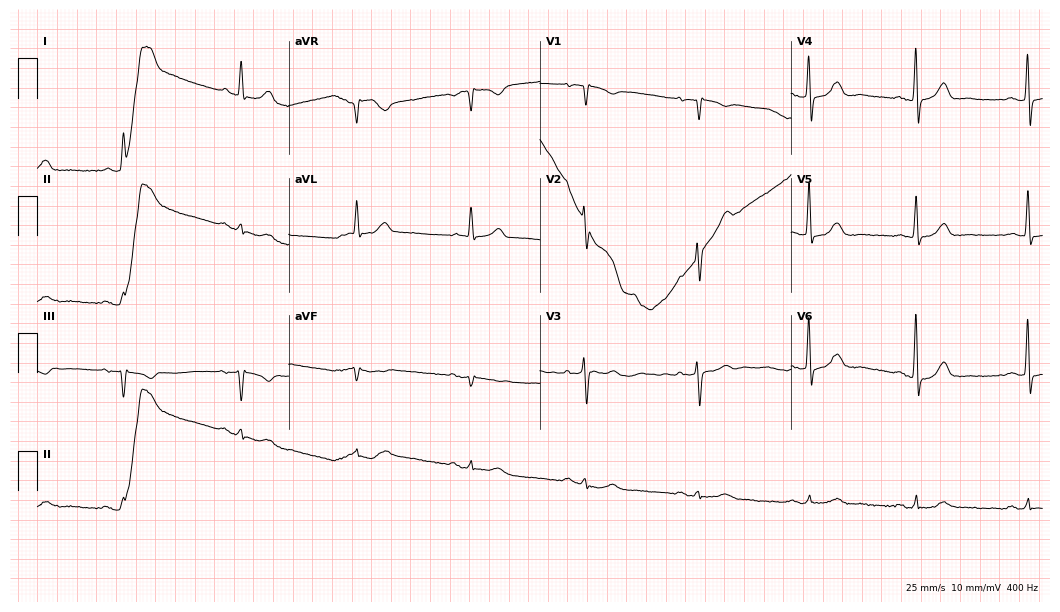
ECG — an 87-year-old male. Screened for six findings — first-degree AV block, right bundle branch block, left bundle branch block, sinus bradycardia, atrial fibrillation, sinus tachycardia — none is recorded.